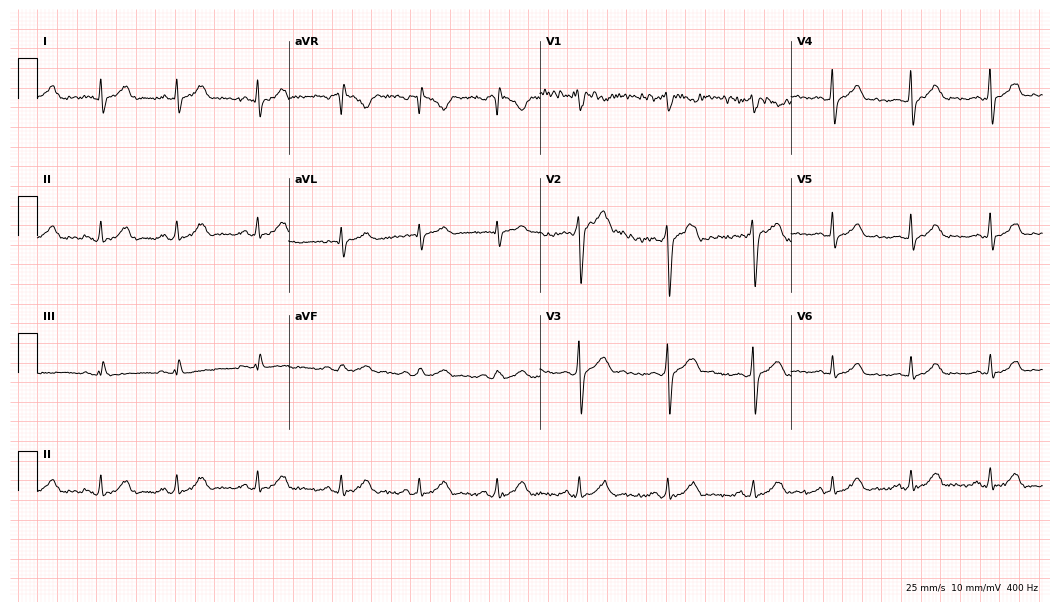
Standard 12-lead ECG recorded from a 30-year-old man (10.2-second recording at 400 Hz). Read as a normal ECG.